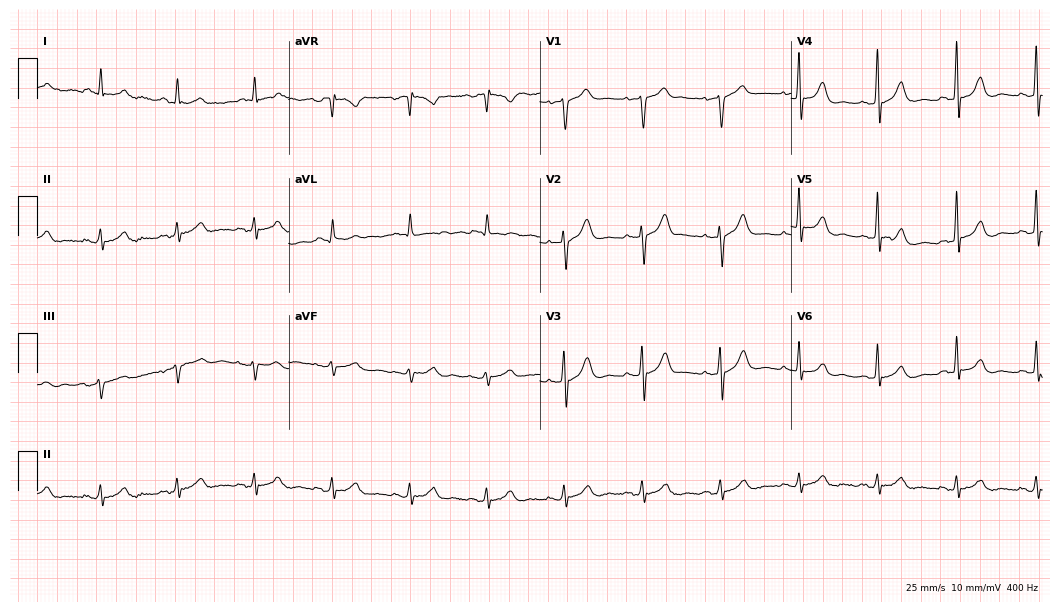
Standard 12-lead ECG recorded from a male, 77 years old (10.2-second recording at 400 Hz). Read as a normal ECG.